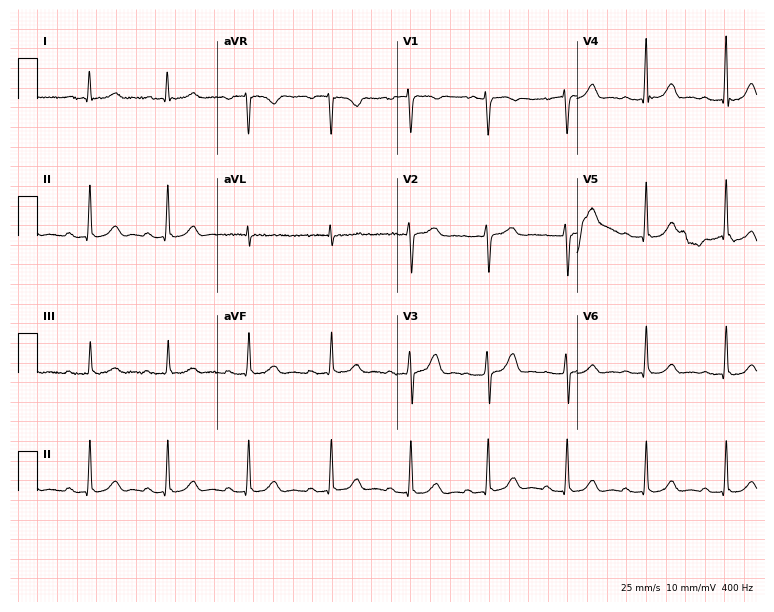
12-lead ECG from a 44-year-old female. Recorded interpretation: within normal limits.